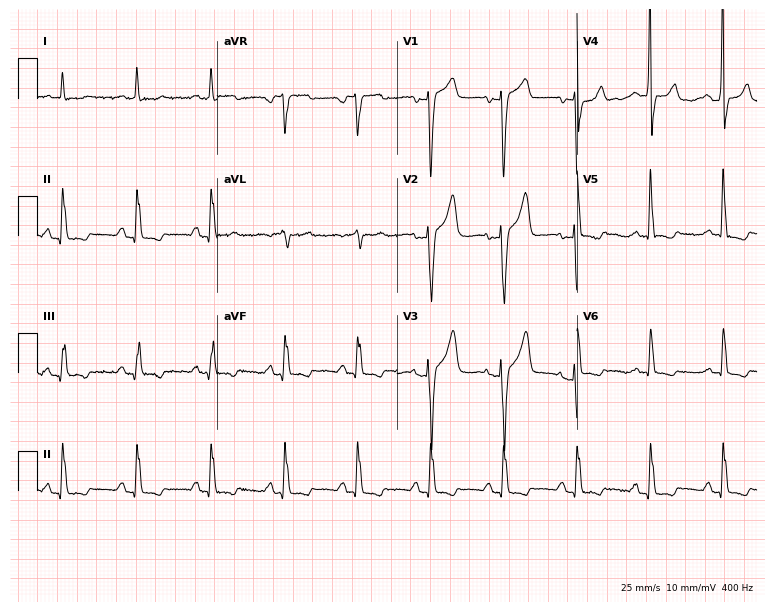
Standard 12-lead ECG recorded from a 63-year-old woman. None of these six findings is recorded: first-degree AV block, right bundle branch block, left bundle branch block, sinus bradycardia, atrial fibrillation, sinus tachycardia.